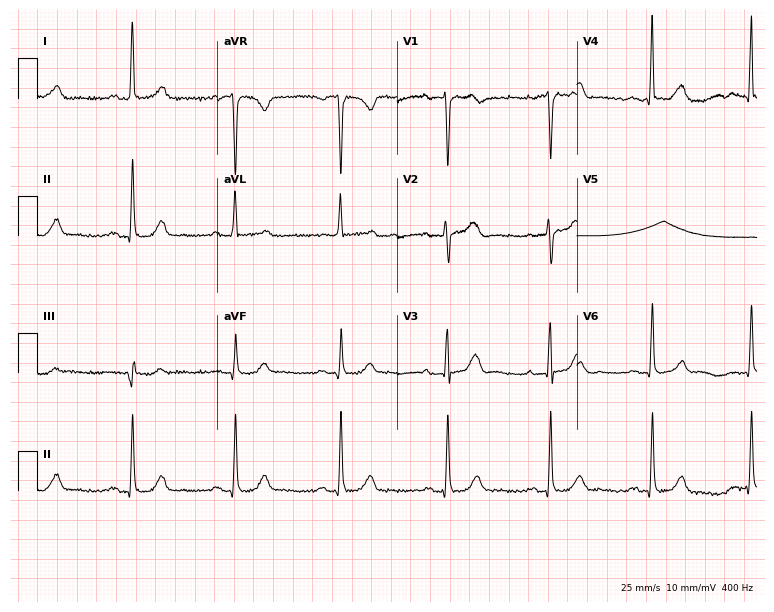
12-lead ECG from a 69-year-old female patient. Recorded interpretation: within normal limits.